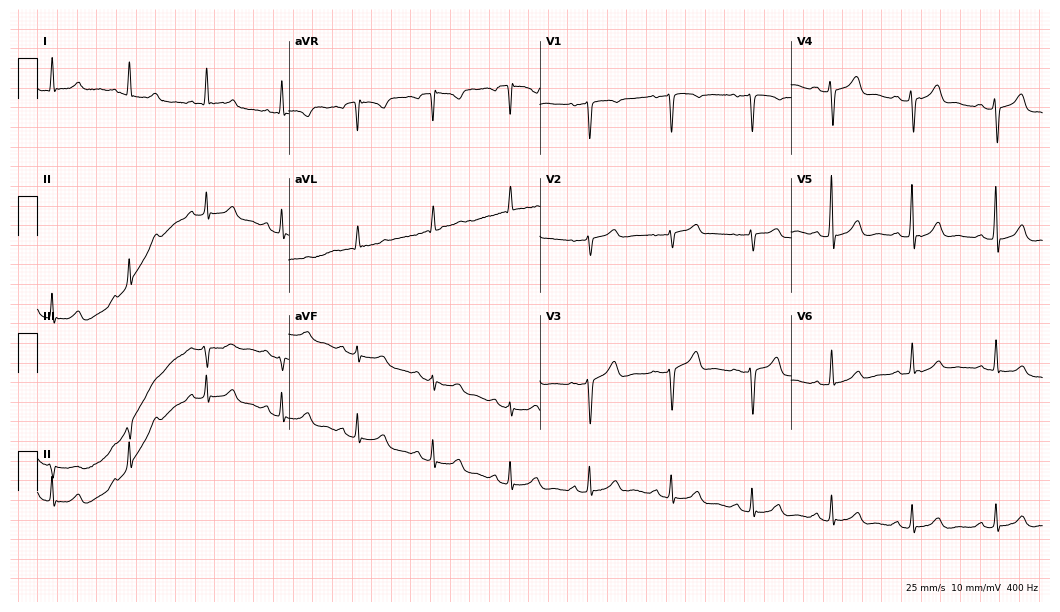
Resting 12-lead electrocardiogram (10.2-second recording at 400 Hz). Patient: a man, 61 years old. None of these six findings is recorded: first-degree AV block, right bundle branch block, left bundle branch block, sinus bradycardia, atrial fibrillation, sinus tachycardia.